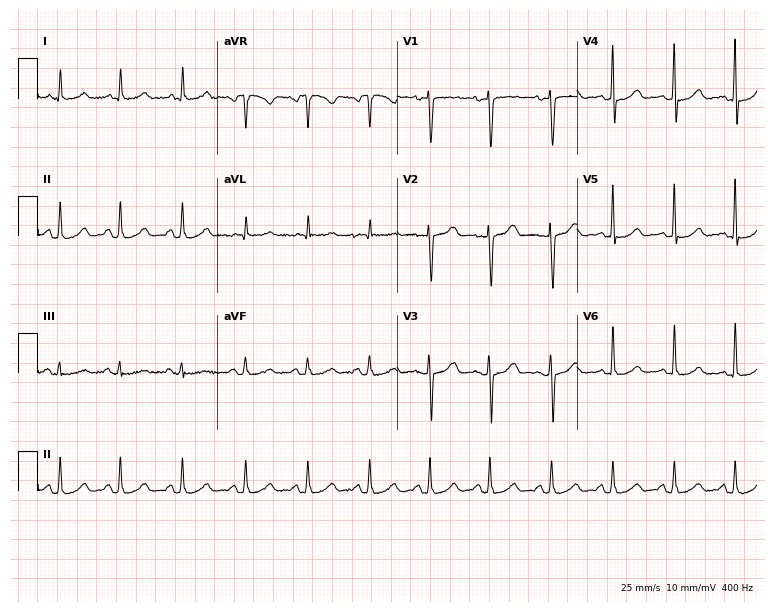
12-lead ECG from a female patient, 37 years old. Labelled as a normal ECG.